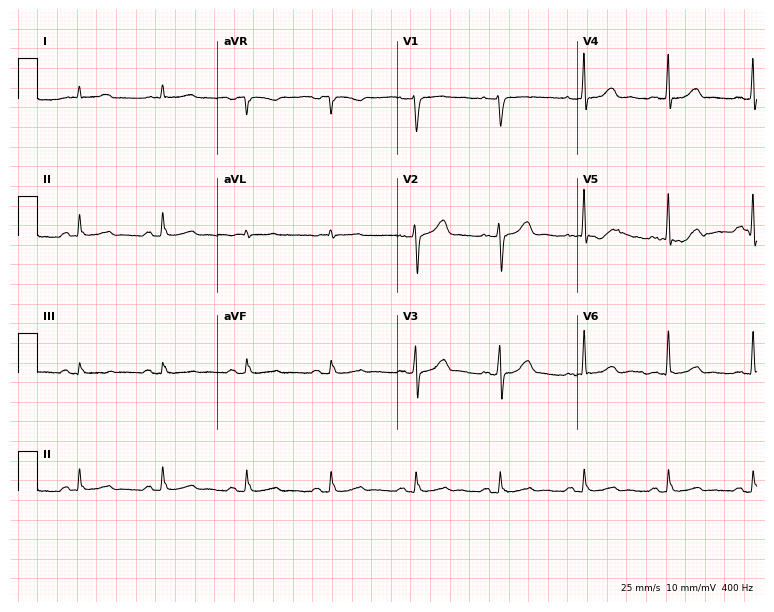
12-lead ECG from a 64-year-old man. Labelled as a normal ECG.